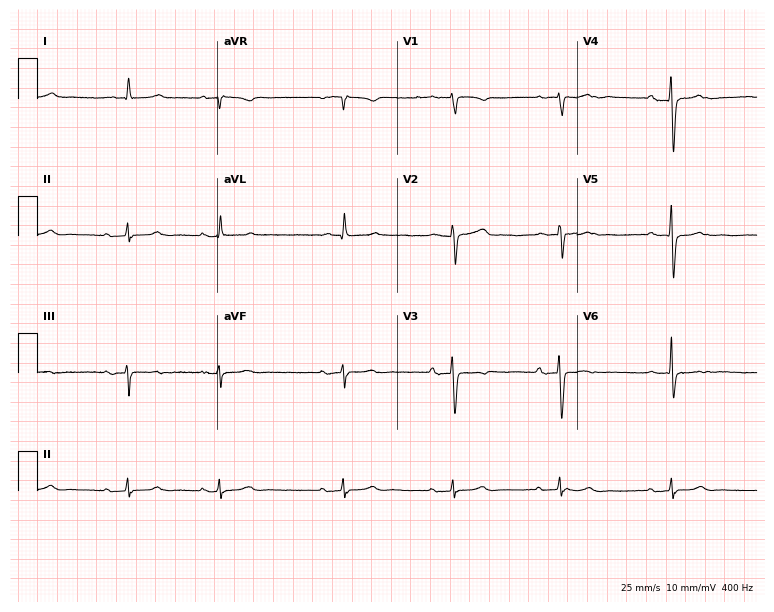
Standard 12-lead ECG recorded from an 83-year-old man. None of these six findings is recorded: first-degree AV block, right bundle branch block, left bundle branch block, sinus bradycardia, atrial fibrillation, sinus tachycardia. Only these six findings were labelled.